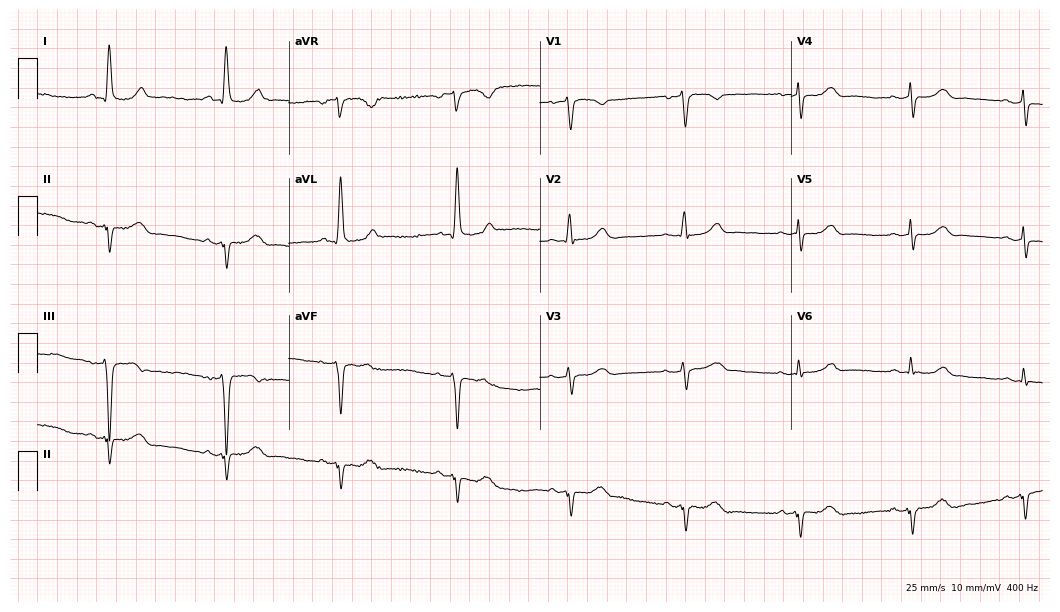
Resting 12-lead electrocardiogram (10.2-second recording at 400 Hz). Patient: a female, 63 years old. None of these six findings is recorded: first-degree AV block, right bundle branch block, left bundle branch block, sinus bradycardia, atrial fibrillation, sinus tachycardia. Findings outside these six are not listed.